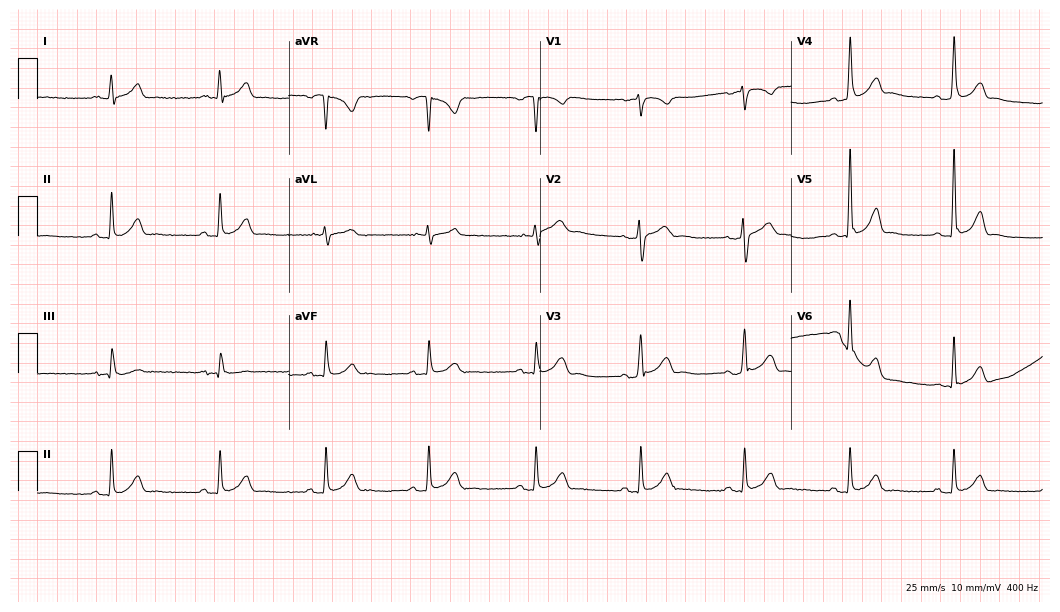
Resting 12-lead electrocardiogram. Patient: a 55-year-old male. Read as a normal ECG.